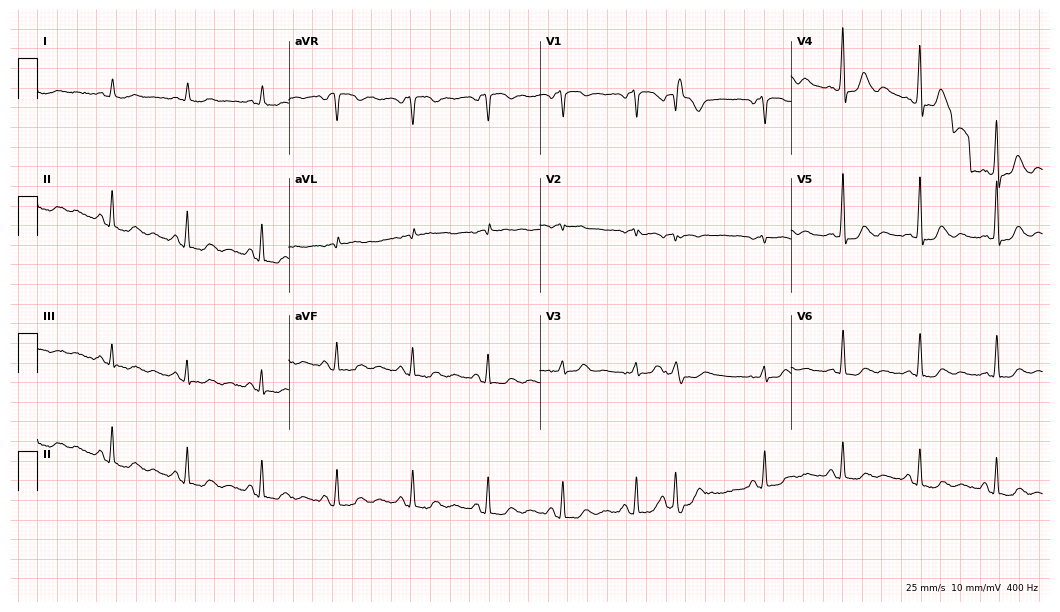
Resting 12-lead electrocardiogram (10.2-second recording at 400 Hz). Patient: a male, 83 years old. None of these six findings is recorded: first-degree AV block, right bundle branch block, left bundle branch block, sinus bradycardia, atrial fibrillation, sinus tachycardia. Only these six findings were labelled.